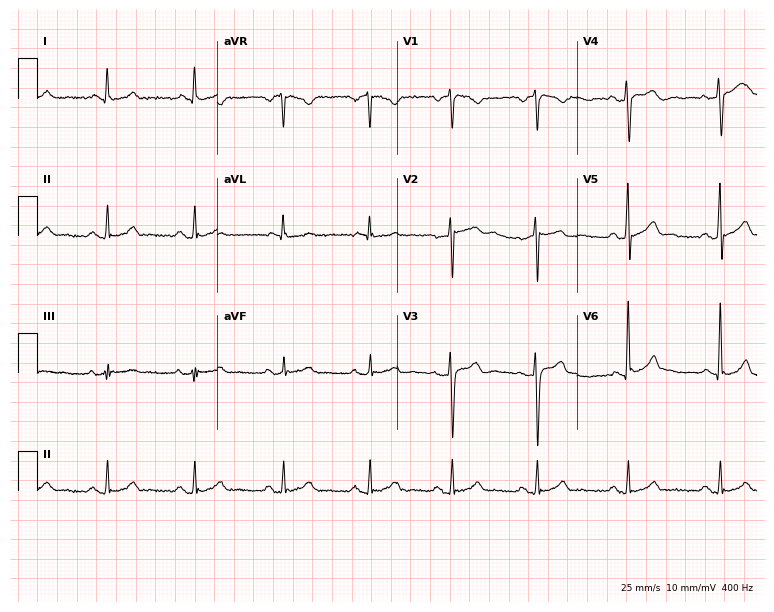
Resting 12-lead electrocardiogram (7.3-second recording at 400 Hz). Patient: a 27-year-old male. Read as a normal ECG.